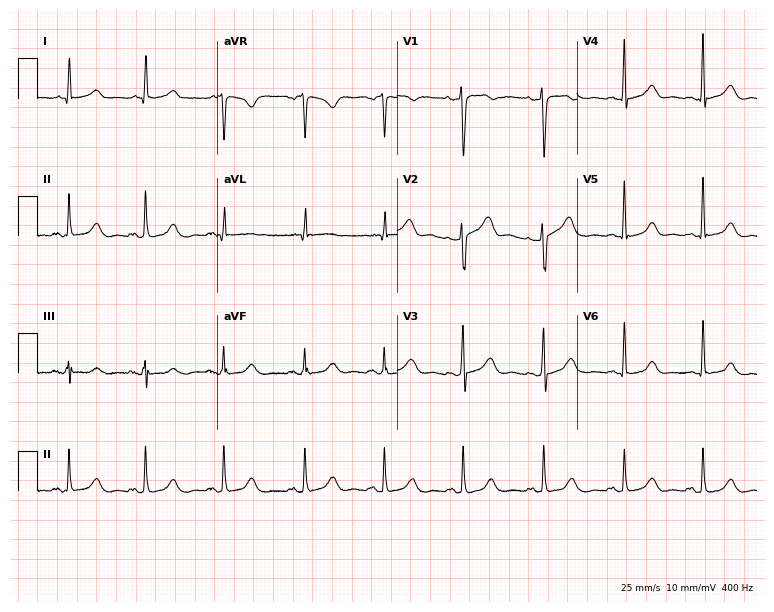
ECG — a female patient, 47 years old. Labelled as a normal ECG.